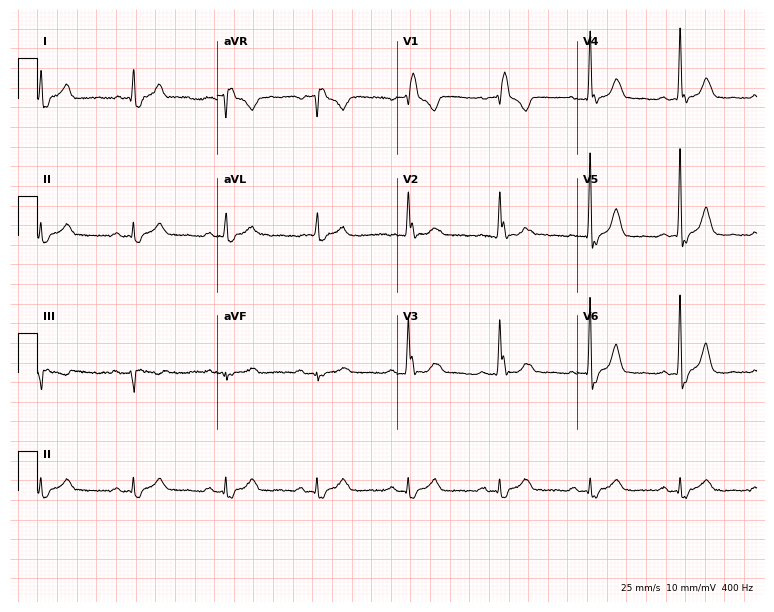
12-lead ECG from a male, 81 years old. Shows right bundle branch block (RBBB).